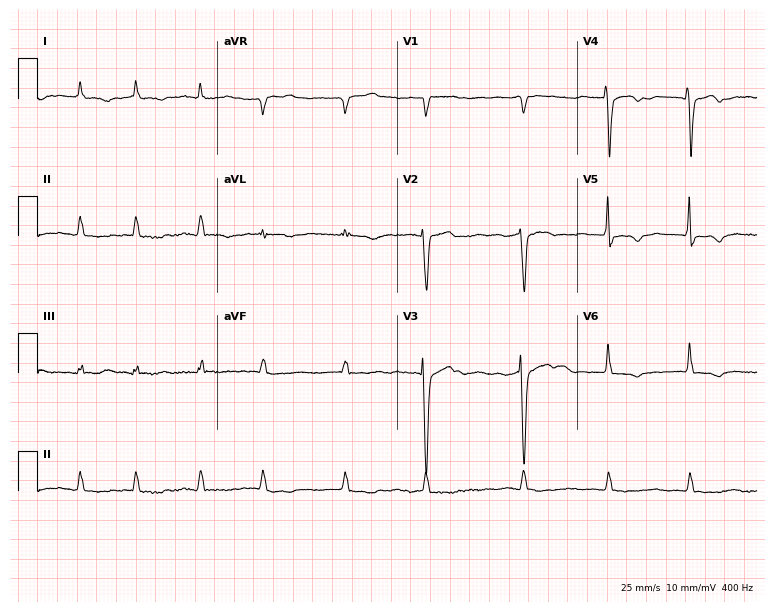
ECG (7.3-second recording at 400 Hz) — a female, 75 years old. Findings include atrial fibrillation.